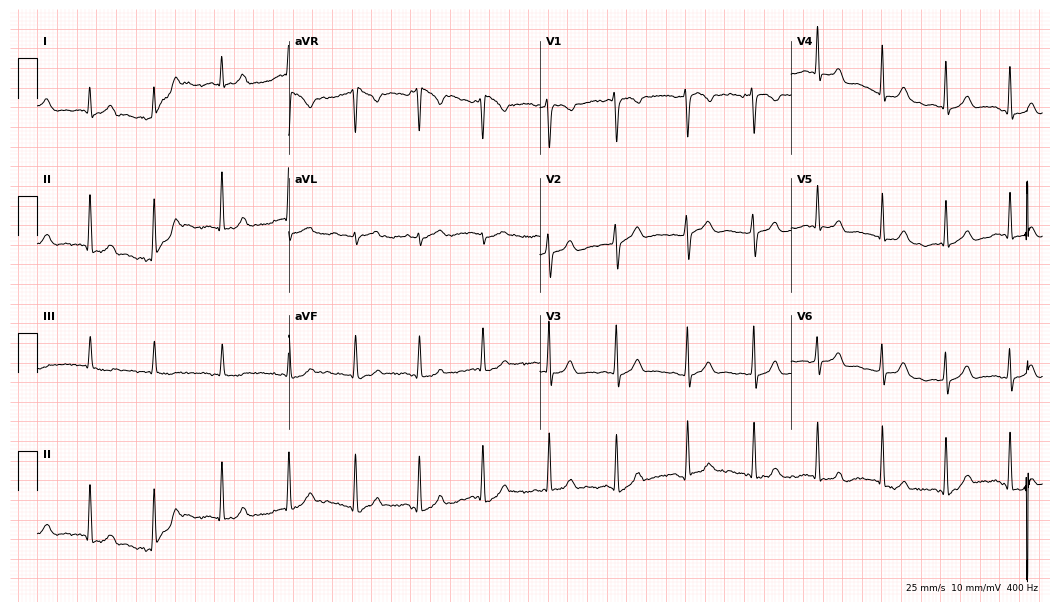
Electrocardiogram, a 22-year-old female. Of the six screened findings (first-degree AV block, right bundle branch block (RBBB), left bundle branch block (LBBB), sinus bradycardia, atrial fibrillation (AF), sinus tachycardia), none is recorded. Other findings, if any, are not listed.